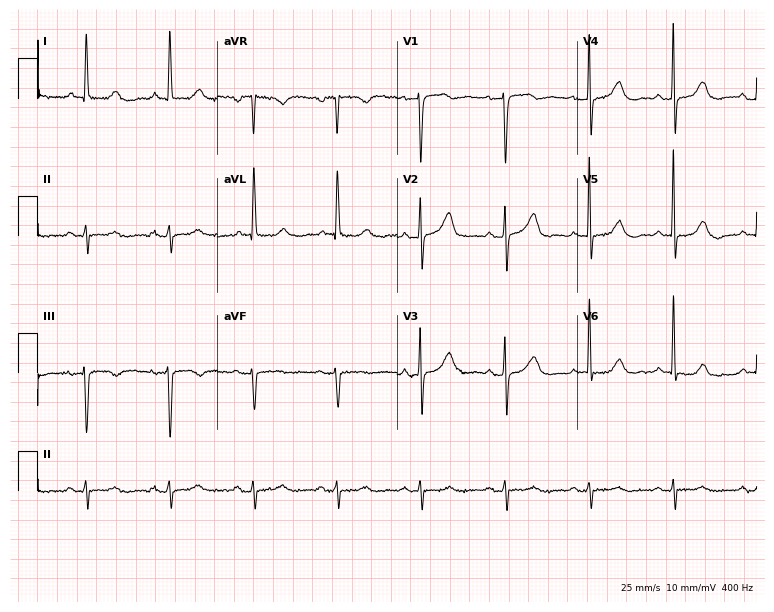
ECG — an 80-year-old female patient. Screened for six findings — first-degree AV block, right bundle branch block, left bundle branch block, sinus bradycardia, atrial fibrillation, sinus tachycardia — none is recorded.